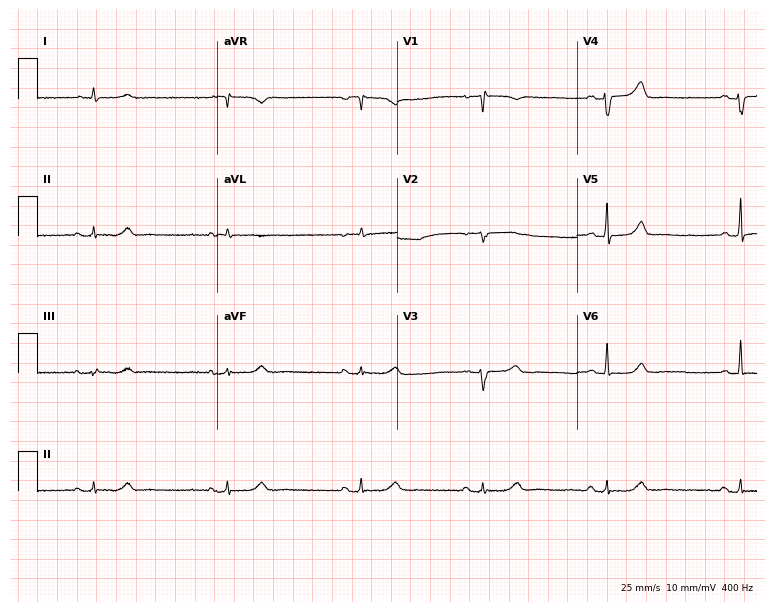
Standard 12-lead ECG recorded from a female, 69 years old (7.3-second recording at 400 Hz). The tracing shows sinus bradycardia (a sinus rate of 50 beats per minute or less).